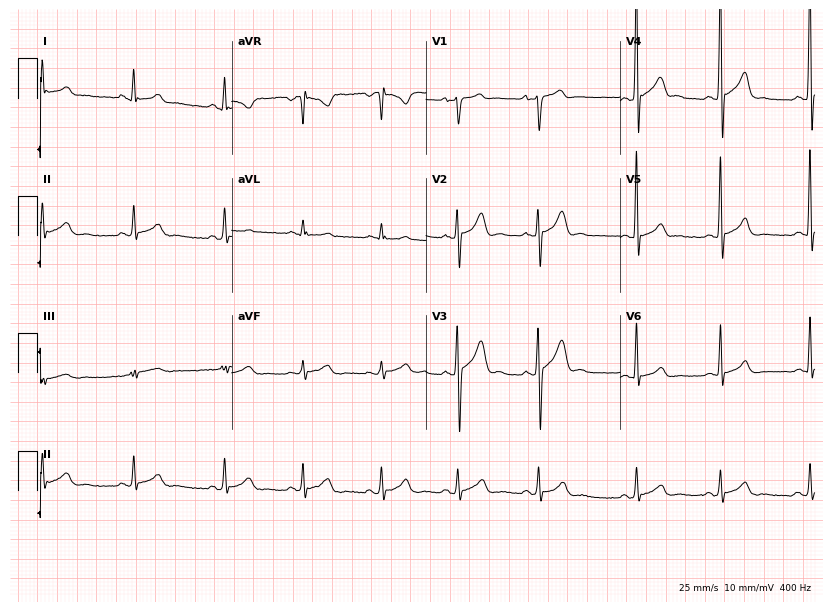
12-lead ECG (7.9-second recording at 400 Hz) from a 17-year-old male. Labelled as a normal ECG.